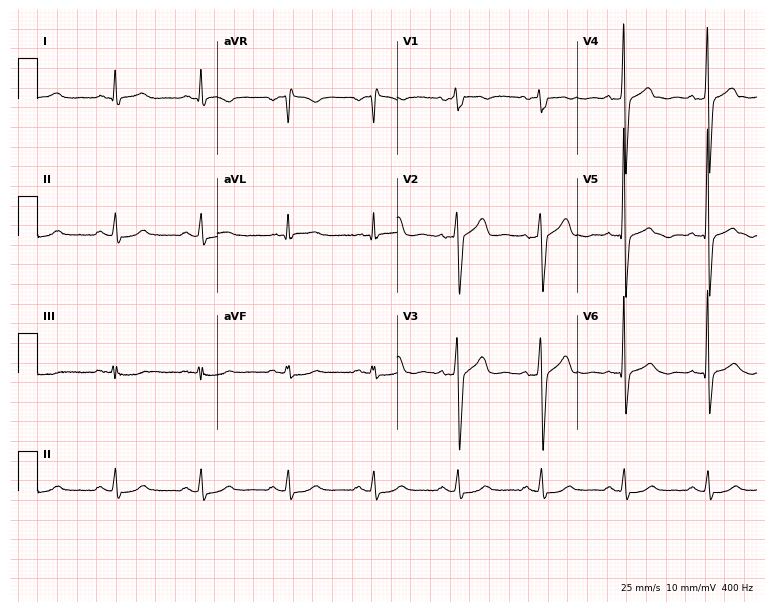
Electrocardiogram, a 55-year-old male. Of the six screened findings (first-degree AV block, right bundle branch block, left bundle branch block, sinus bradycardia, atrial fibrillation, sinus tachycardia), none is recorded. Other findings, if any, are not listed.